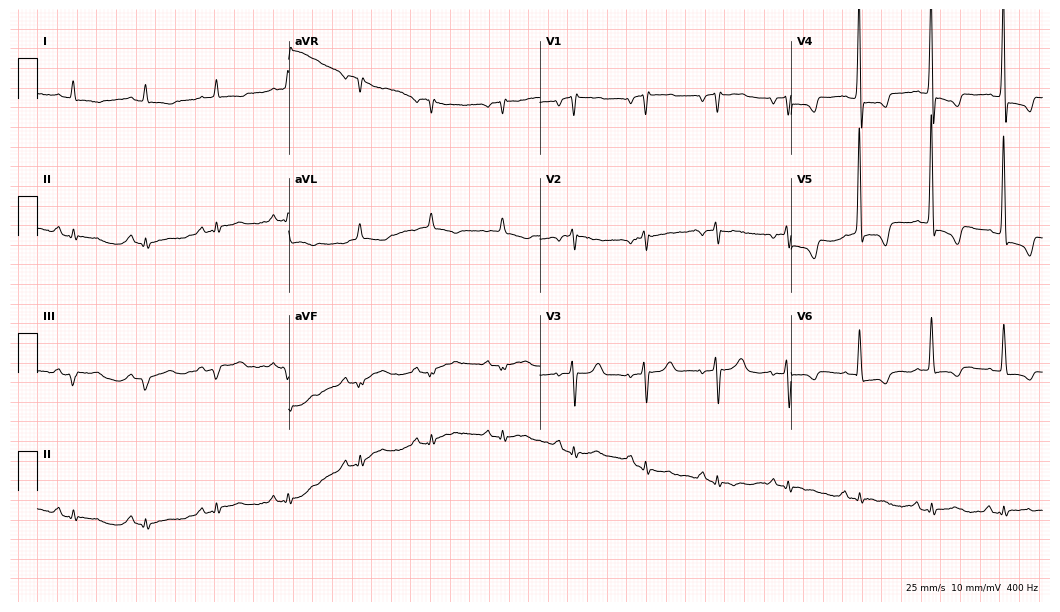
Standard 12-lead ECG recorded from a female patient, 82 years old (10.2-second recording at 400 Hz). None of these six findings is recorded: first-degree AV block, right bundle branch block, left bundle branch block, sinus bradycardia, atrial fibrillation, sinus tachycardia. Only these six findings were labelled.